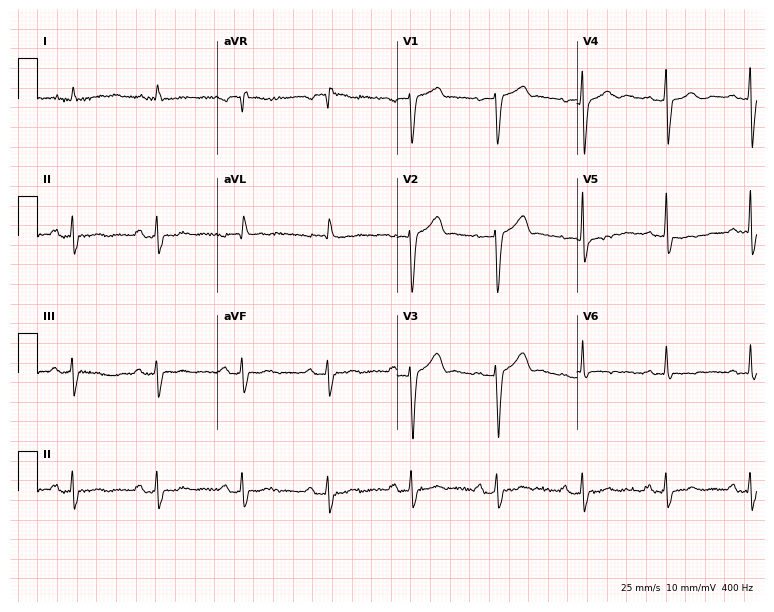
Standard 12-lead ECG recorded from a female patient, 79 years old. None of these six findings is recorded: first-degree AV block, right bundle branch block, left bundle branch block, sinus bradycardia, atrial fibrillation, sinus tachycardia. Other findings, if any, are not listed.